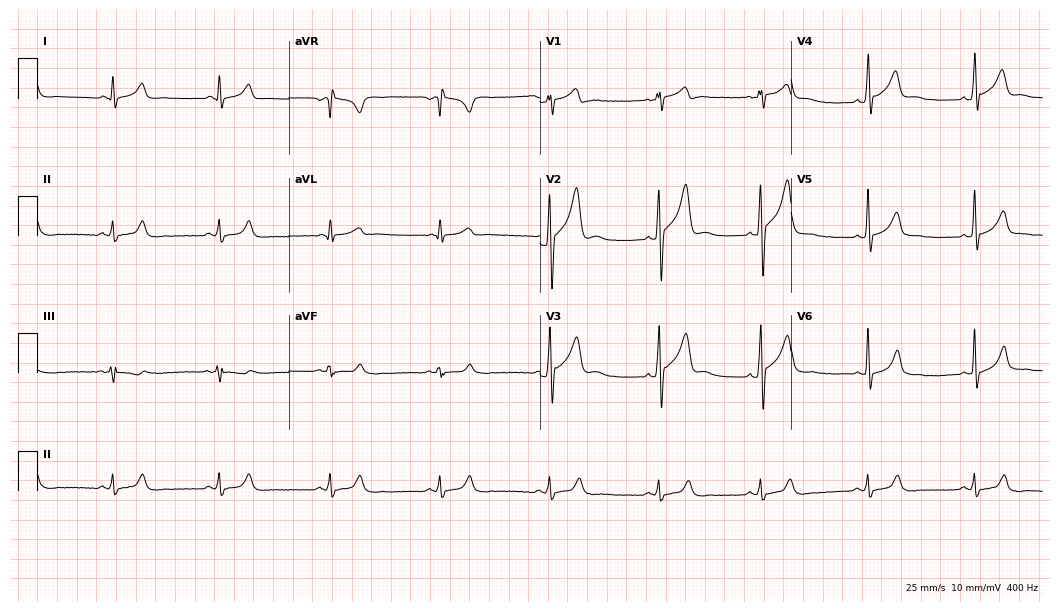
ECG — a male, 24 years old. Labelled as a normal ECG.